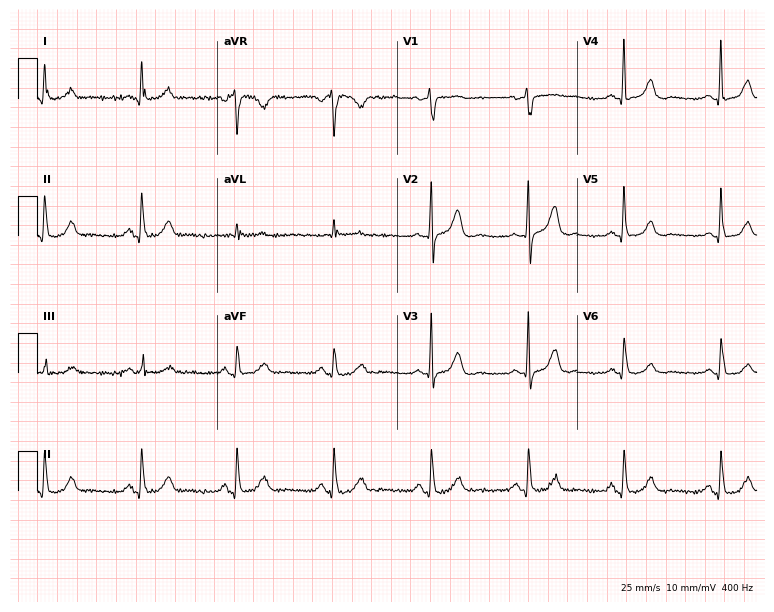
12-lead ECG from a female patient, 67 years old. Recorded interpretation: within normal limits.